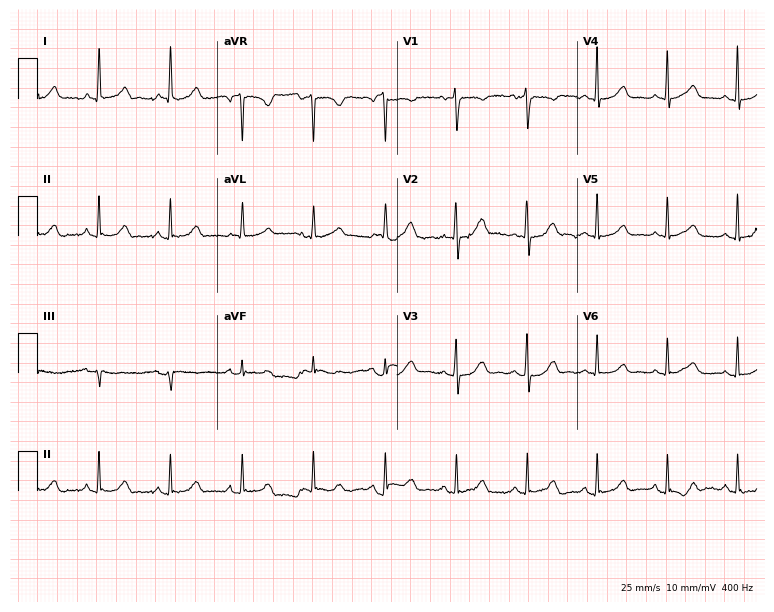
12-lead ECG from a female patient, 79 years old. Recorded interpretation: within normal limits.